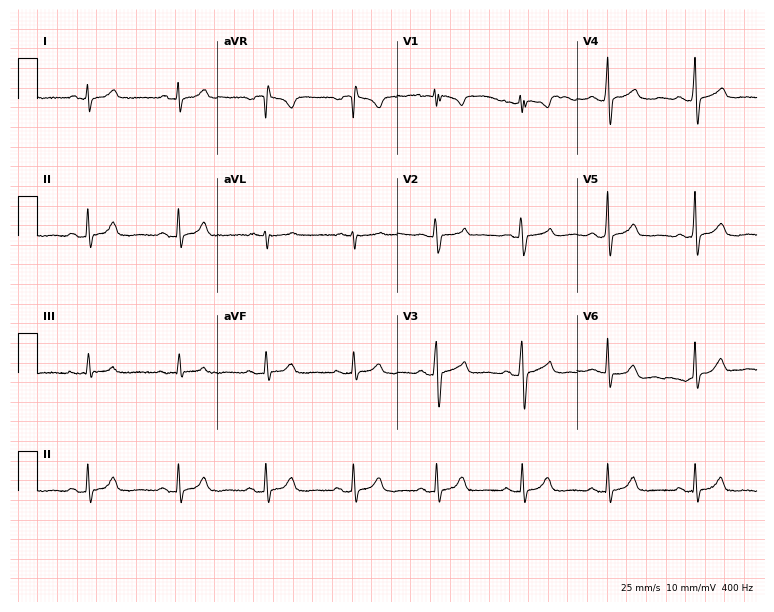
12-lead ECG from a woman, 39 years old. No first-degree AV block, right bundle branch block (RBBB), left bundle branch block (LBBB), sinus bradycardia, atrial fibrillation (AF) or sinus tachycardia recorded for this tracing.